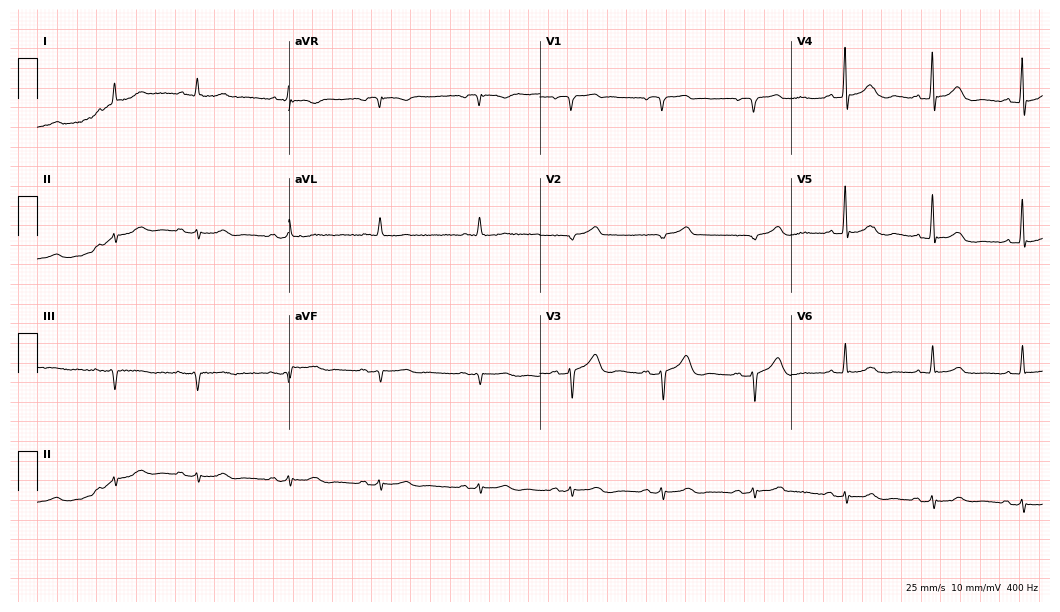
Standard 12-lead ECG recorded from a 76-year-old male patient (10.2-second recording at 400 Hz). None of these six findings is recorded: first-degree AV block, right bundle branch block, left bundle branch block, sinus bradycardia, atrial fibrillation, sinus tachycardia.